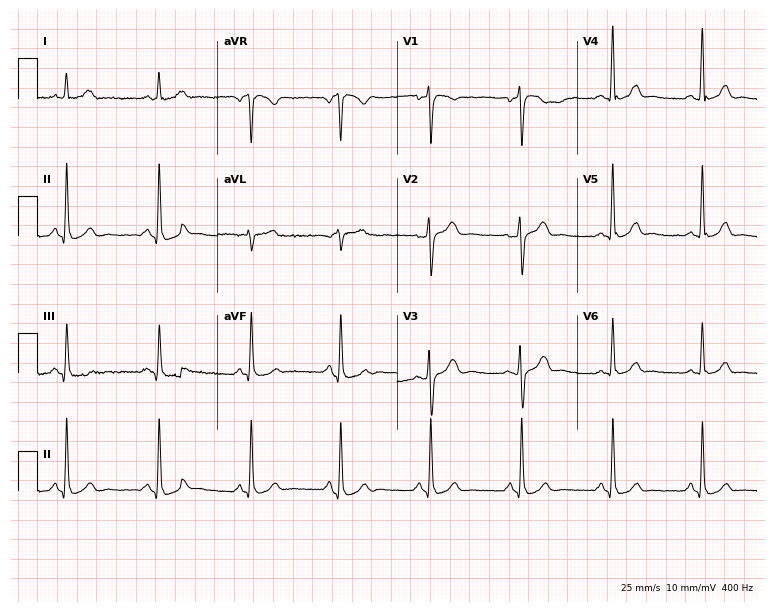
Resting 12-lead electrocardiogram (7.3-second recording at 400 Hz). Patient: a 53-year-old man. Read as a normal ECG.